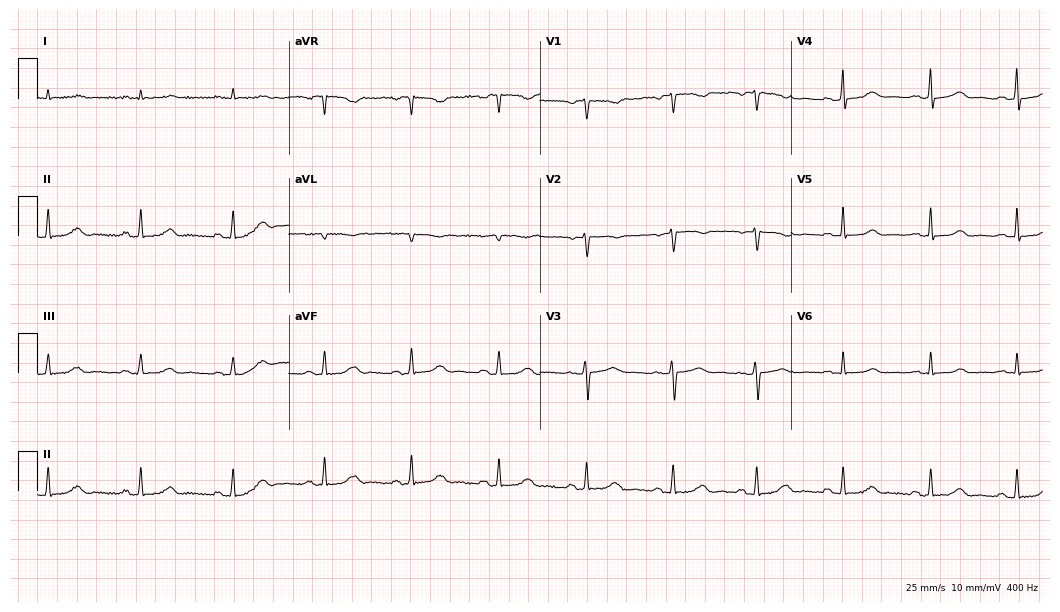
Standard 12-lead ECG recorded from a 48-year-old woman (10.2-second recording at 400 Hz). Read as a normal ECG.